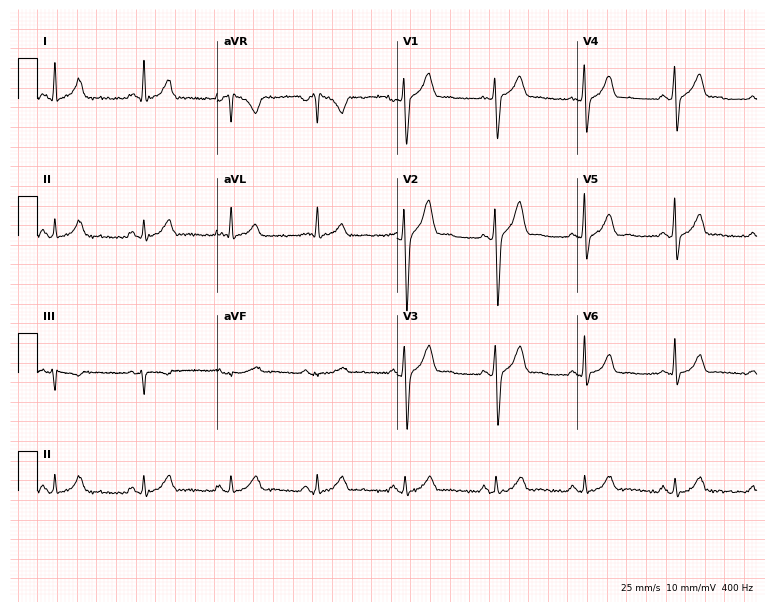
12-lead ECG (7.3-second recording at 400 Hz) from a man, 38 years old. Labelled as a normal ECG.